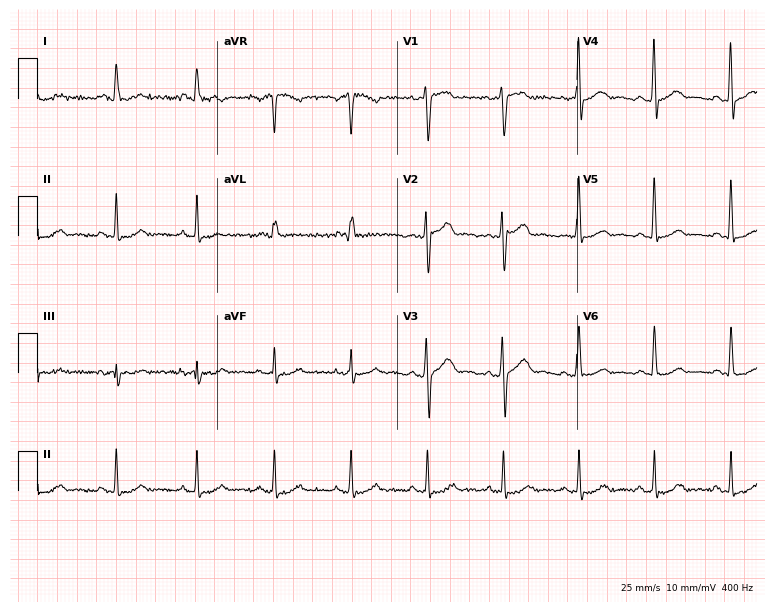
Electrocardiogram (7.3-second recording at 400 Hz), a 48-year-old male patient. Overall reading on record: normal ECG.